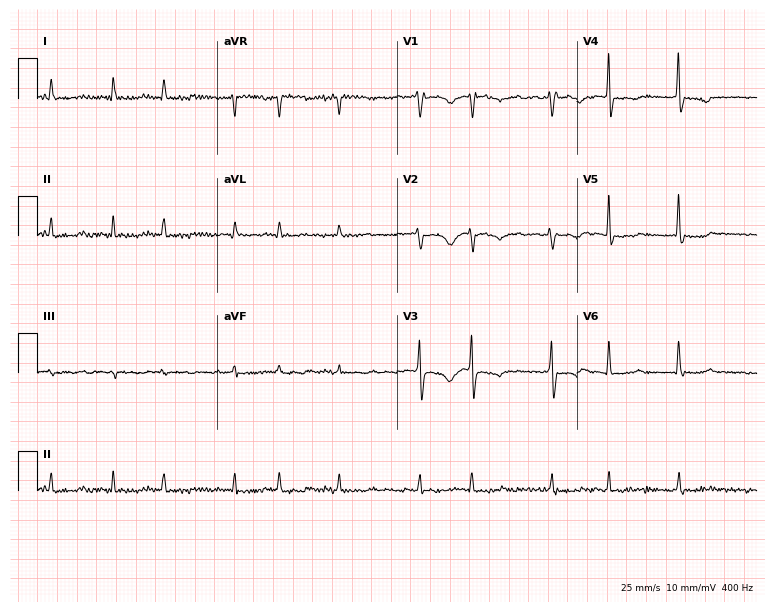
12-lead ECG from a 68-year-old woman. Findings include atrial fibrillation.